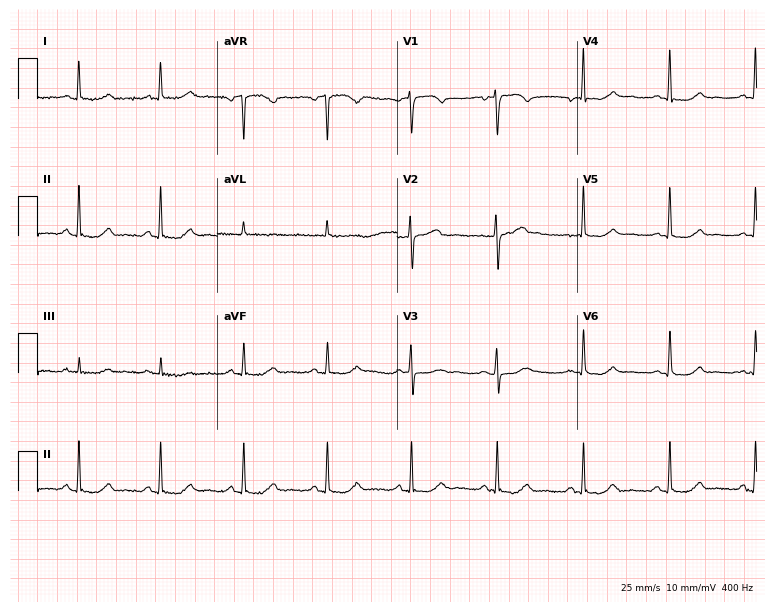
12-lead ECG (7.3-second recording at 400 Hz) from a female patient, 64 years old. Screened for six findings — first-degree AV block, right bundle branch block, left bundle branch block, sinus bradycardia, atrial fibrillation, sinus tachycardia — none is recorded.